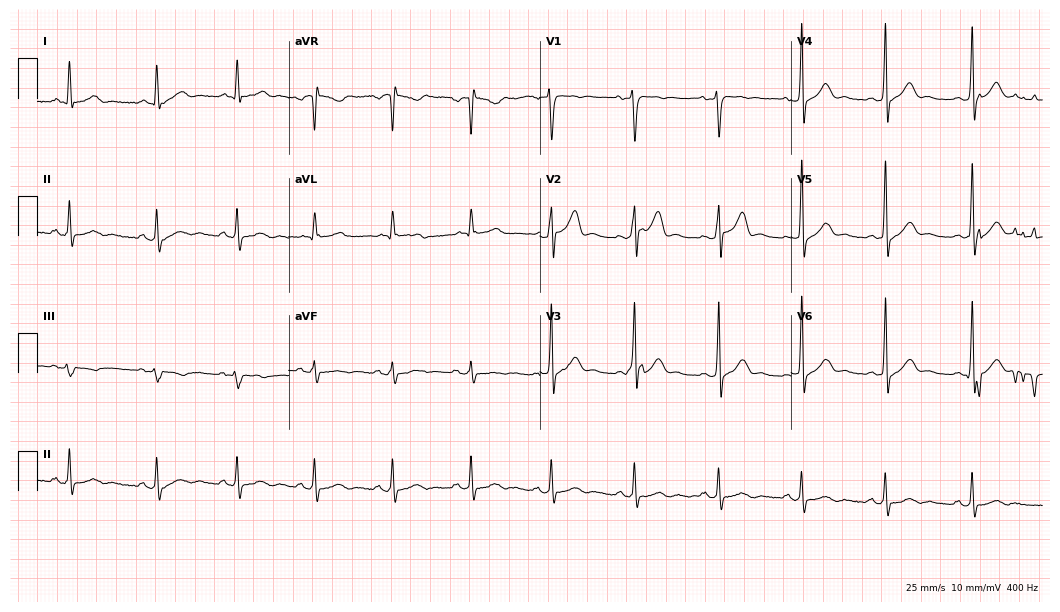
12-lead ECG from a 33-year-old male patient (10.2-second recording at 400 Hz). Recorded interpretation: within normal limits.